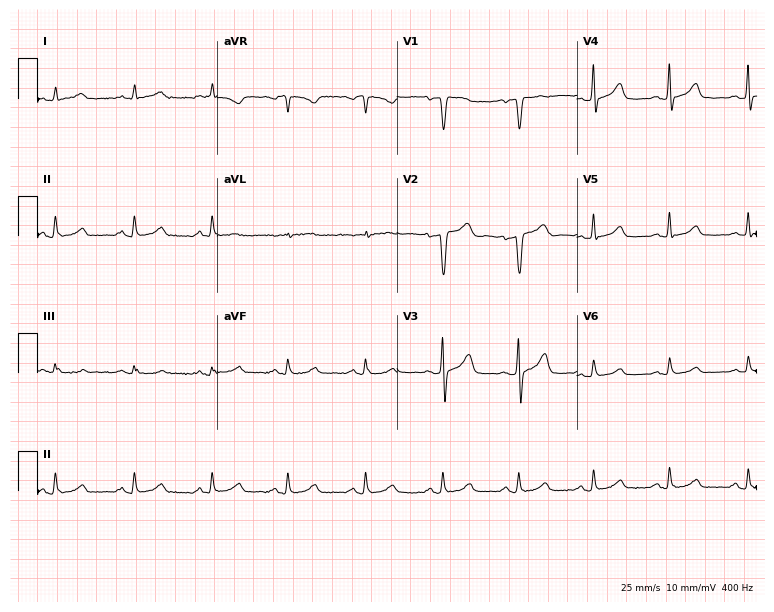
12-lead ECG from a female patient, 56 years old. No first-degree AV block, right bundle branch block (RBBB), left bundle branch block (LBBB), sinus bradycardia, atrial fibrillation (AF) or sinus tachycardia recorded for this tracing. Other findings, if any, are not listed.